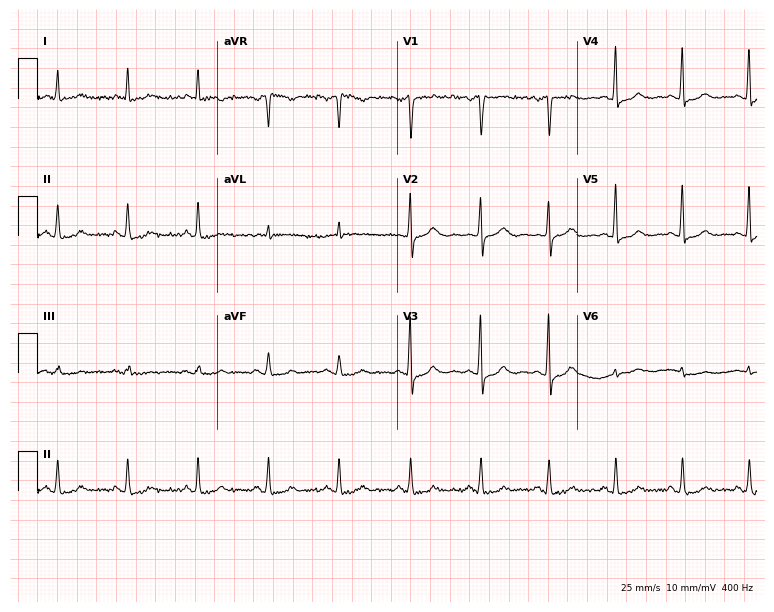
Resting 12-lead electrocardiogram (7.3-second recording at 400 Hz). Patient: a 62-year-old female. Read as a normal ECG.